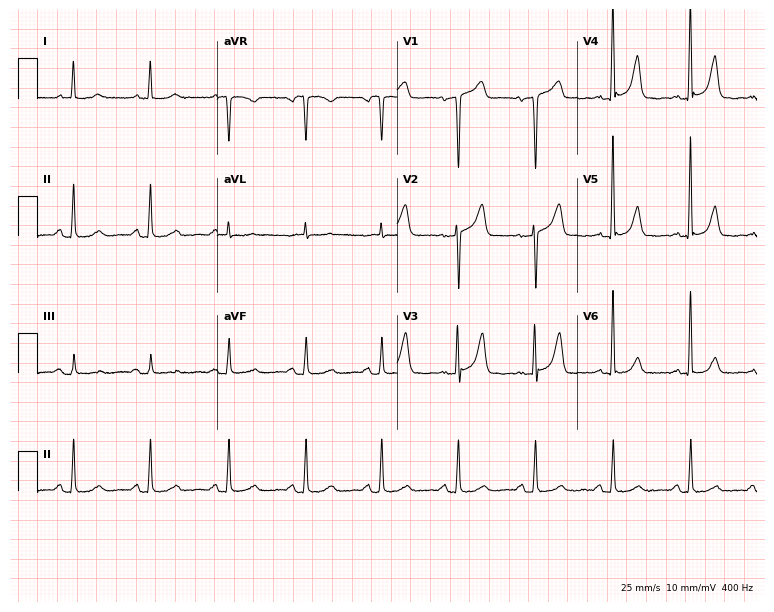
Standard 12-lead ECG recorded from a female patient, 77 years old (7.3-second recording at 400 Hz). Read as a normal ECG.